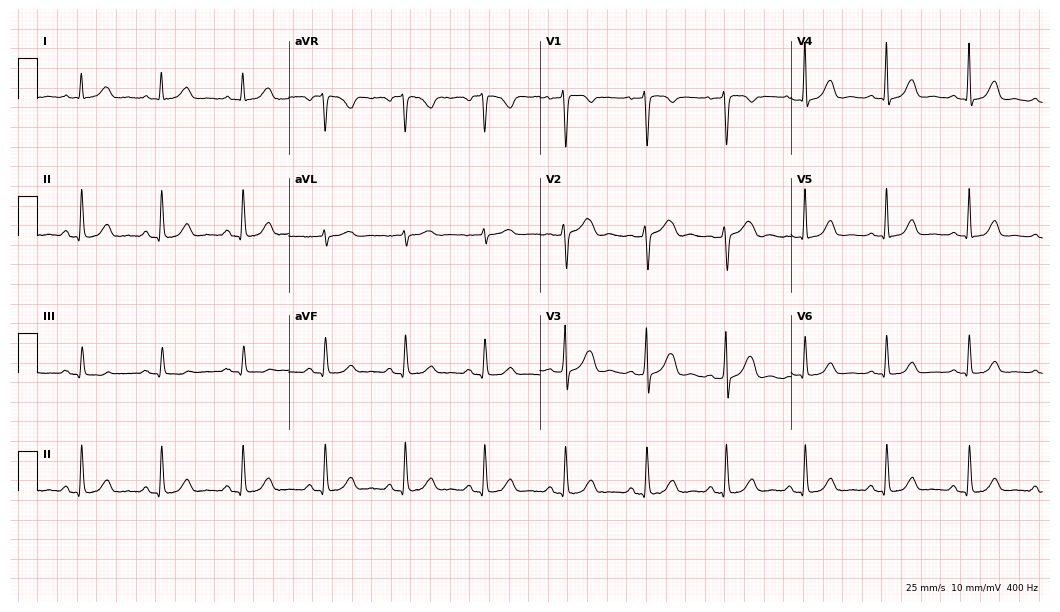
Resting 12-lead electrocardiogram (10.2-second recording at 400 Hz). Patient: a female, 42 years old. None of these six findings is recorded: first-degree AV block, right bundle branch block, left bundle branch block, sinus bradycardia, atrial fibrillation, sinus tachycardia. Other findings, if any, are not listed.